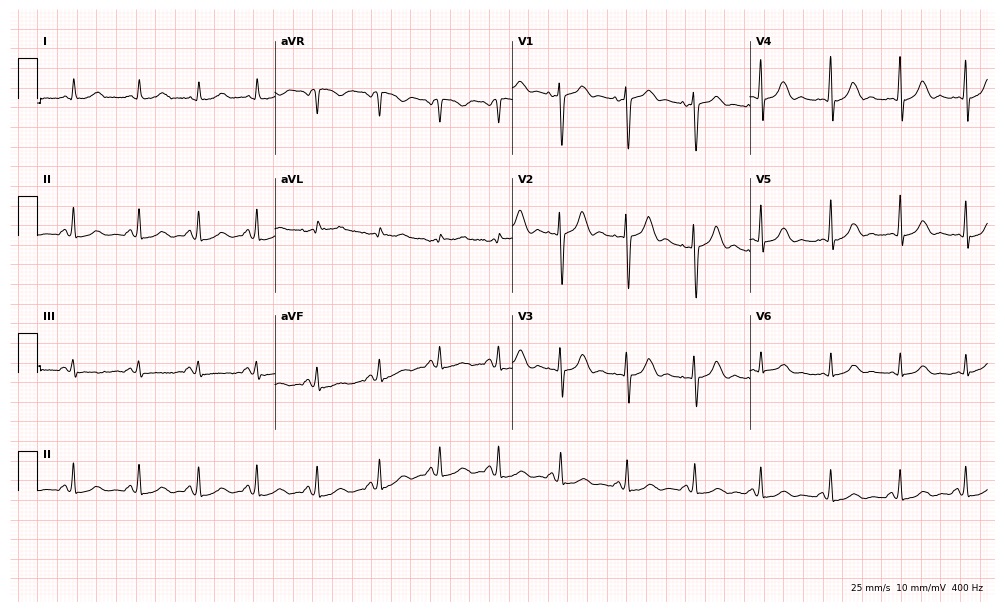
Electrocardiogram (9.7-second recording at 400 Hz), an 18-year-old female patient. Overall reading on record: normal ECG.